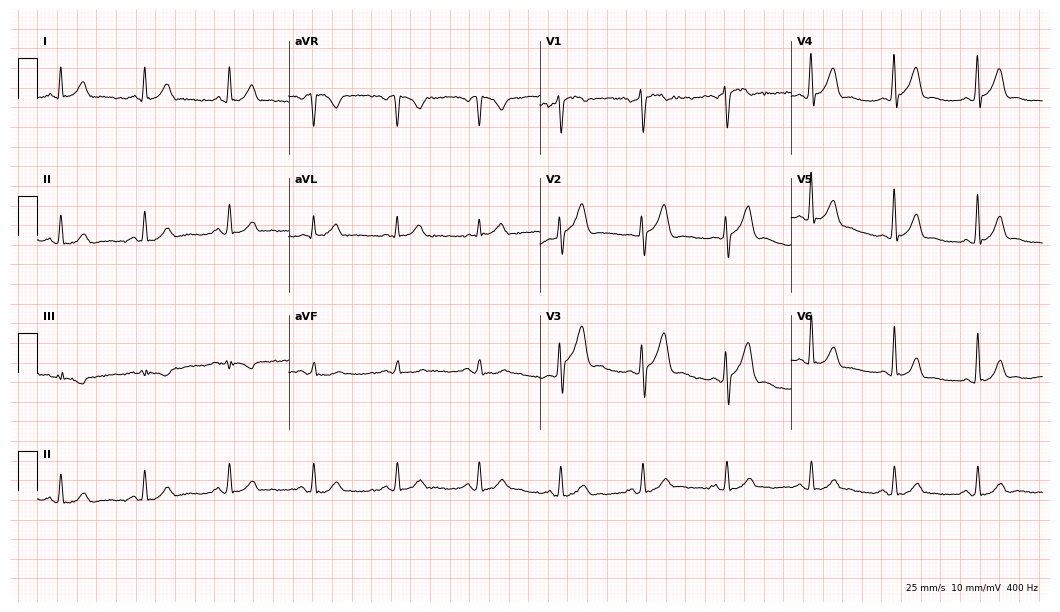
Standard 12-lead ECG recorded from a man, 36 years old (10.2-second recording at 400 Hz). Read as a normal ECG.